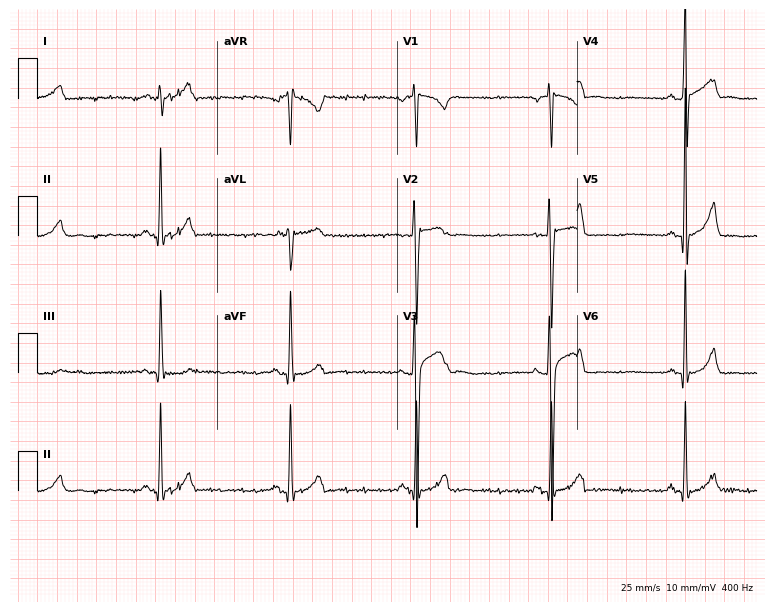
Standard 12-lead ECG recorded from a man, 19 years old. None of these six findings is recorded: first-degree AV block, right bundle branch block, left bundle branch block, sinus bradycardia, atrial fibrillation, sinus tachycardia. Other findings, if any, are not listed.